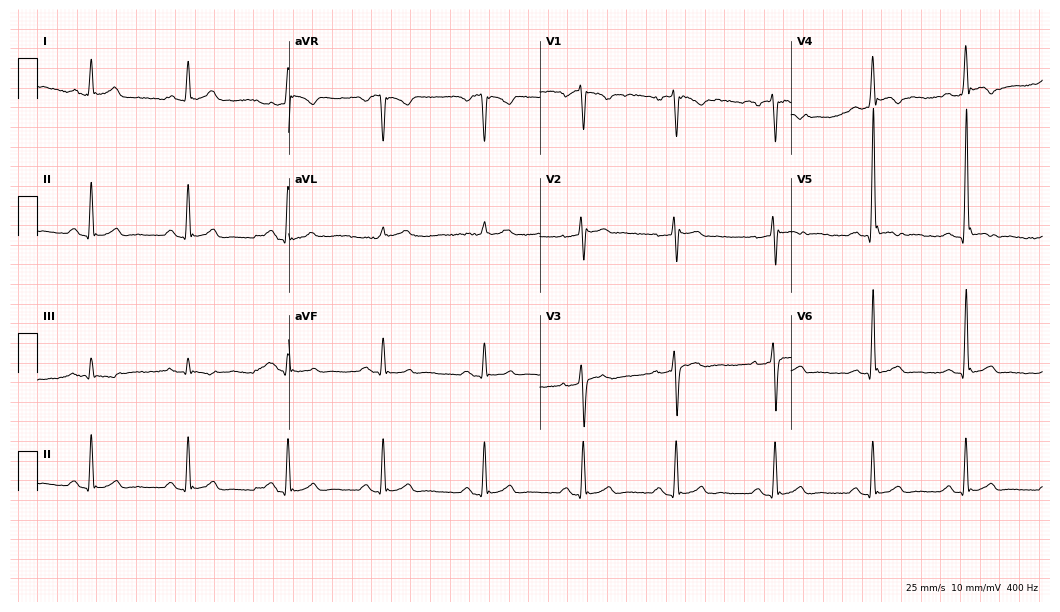
Resting 12-lead electrocardiogram. Patient: a 41-year-old male. None of these six findings is recorded: first-degree AV block, right bundle branch block (RBBB), left bundle branch block (LBBB), sinus bradycardia, atrial fibrillation (AF), sinus tachycardia. Other findings, if any, are not listed.